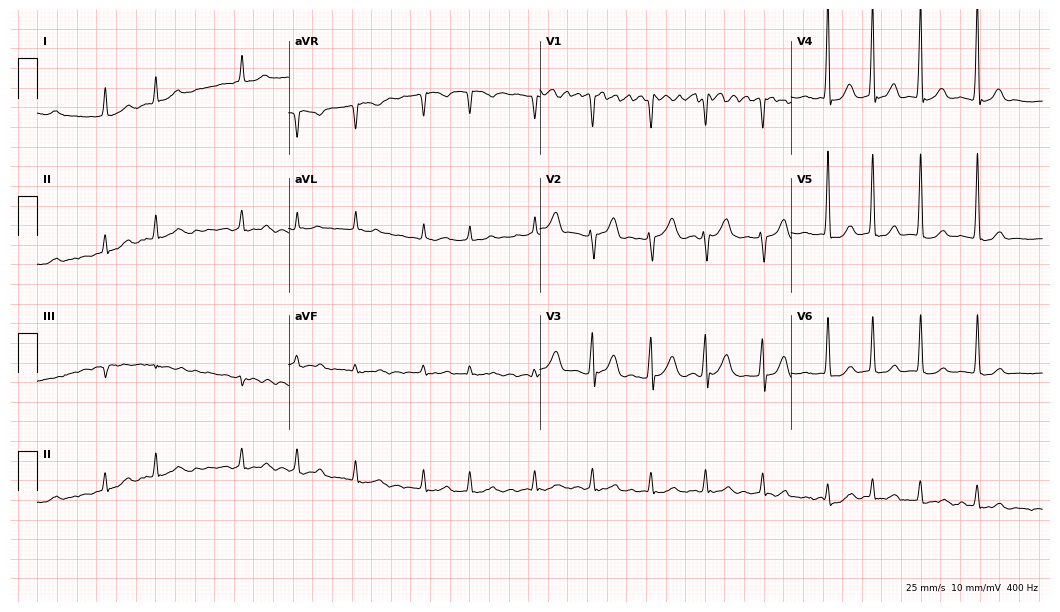
Resting 12-lead electrocardiogram. Patient: a male, 78 years old. The tracing shows atrial fibrillation.